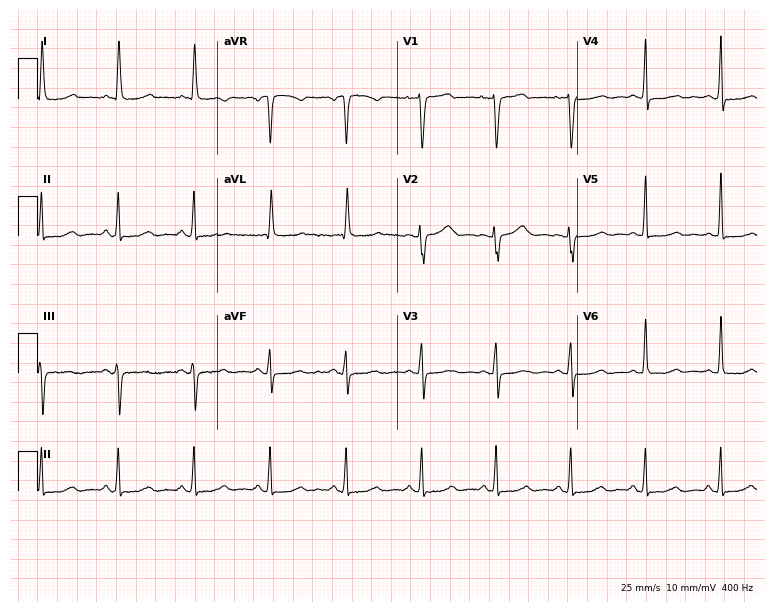
12-lead ECG from a 72-year-old female (7.3-second recording at 400 Hz). No first-degree AV block, right bundle branch block, left bundle branch block, sinus bradycardia, atrial fibrillation or sinus tachycardia recorded for this tracing.